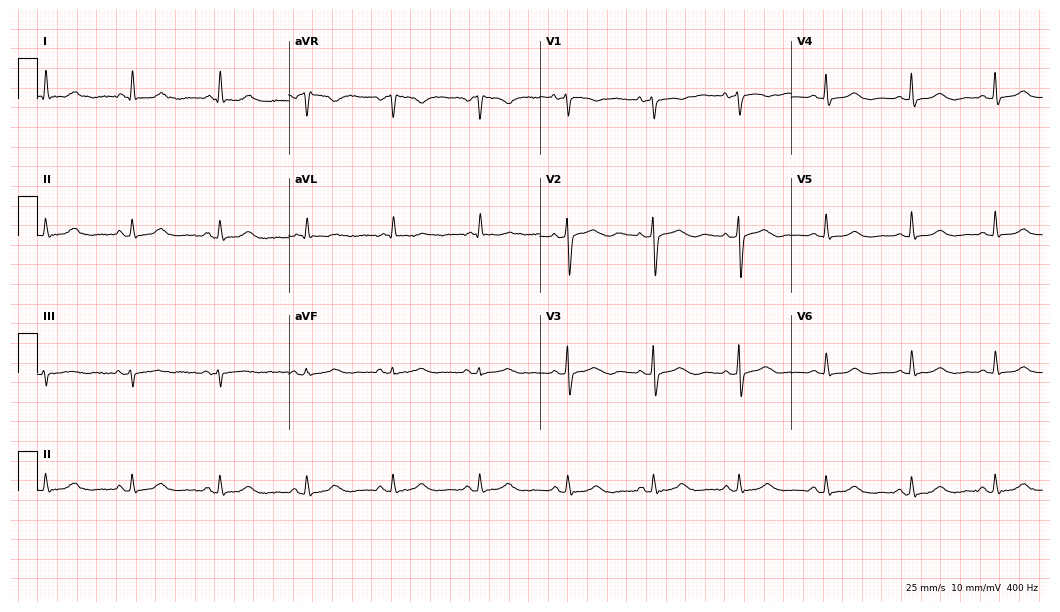
12-lead ECG from a 78-year-old female (10.2-second recording at 400 Hz). Recorded interpretation: within normal limits.